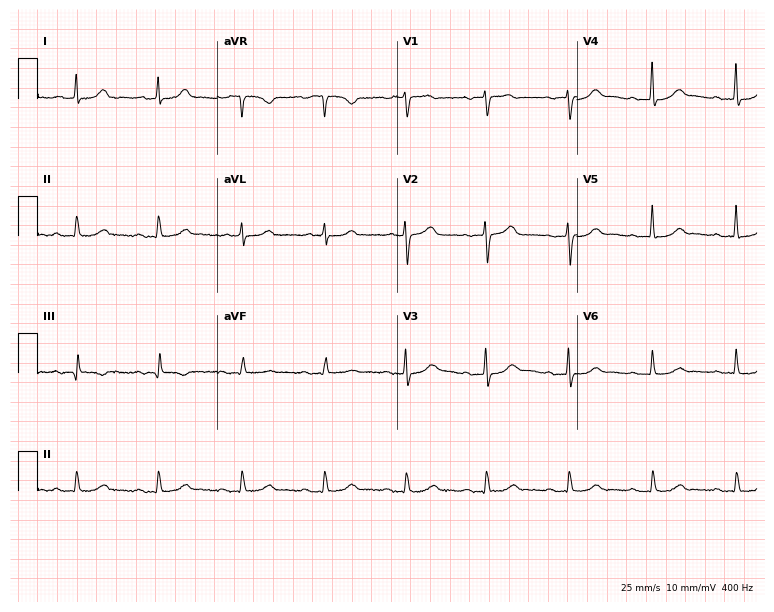
12-lead ECG from a female patient, 64 years old. Screened for six findings — first-degree AV block, right bundle branch block, left bundle branch block, sinus bradycardia, atrial fibrillation, sinus tachycardia — none is recorded. Only these six findings were labelled.